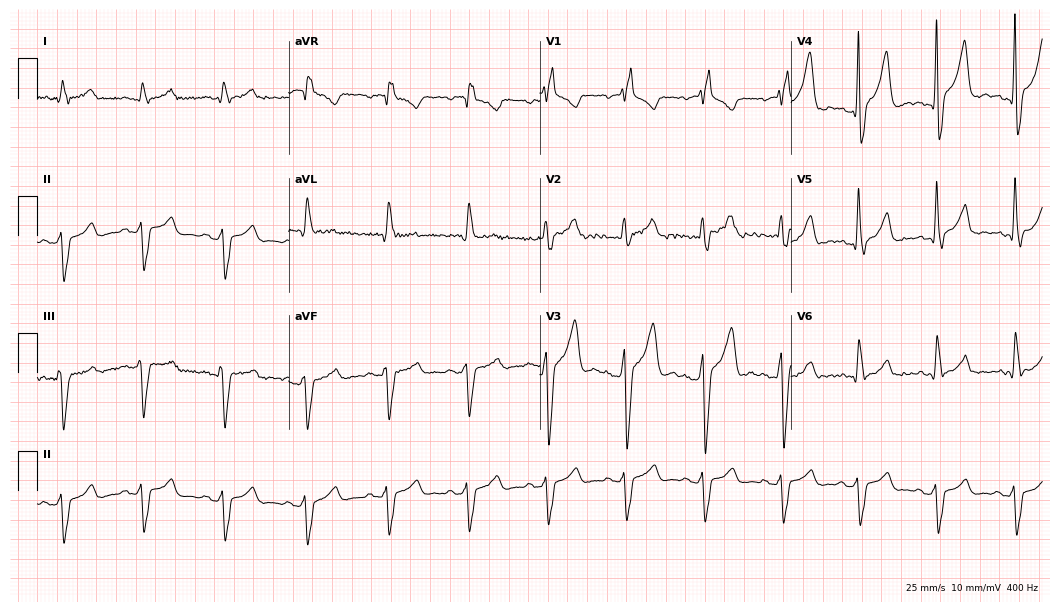
ECG (10.2-second recording at 400 Hz) — a 57-year-old male. Findings include right bundle branch block (RBBB).